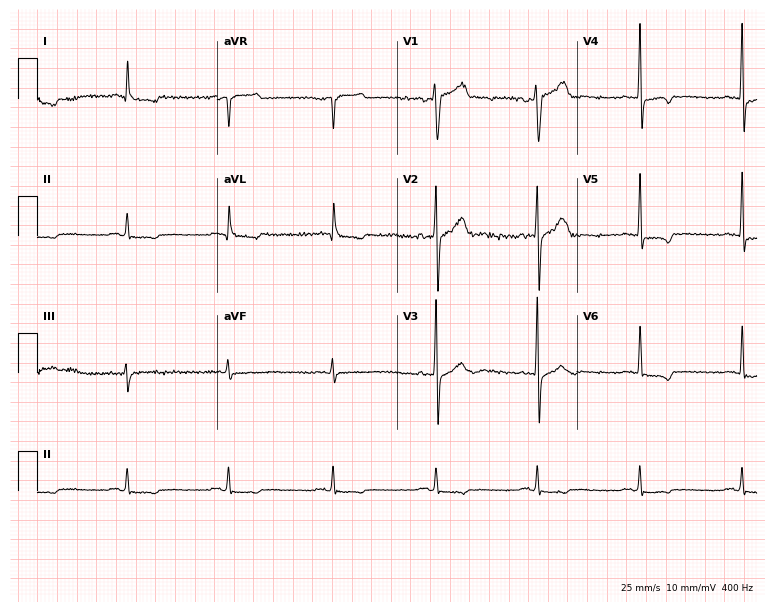
Electrocardiogram, a 55-year-old male. Of the six screened findings (first-degree AV block, right bundle branch block, left bundle branch block, sinus bradycardia, atrial fibrillation, sinus tachycardia), none is recorded.